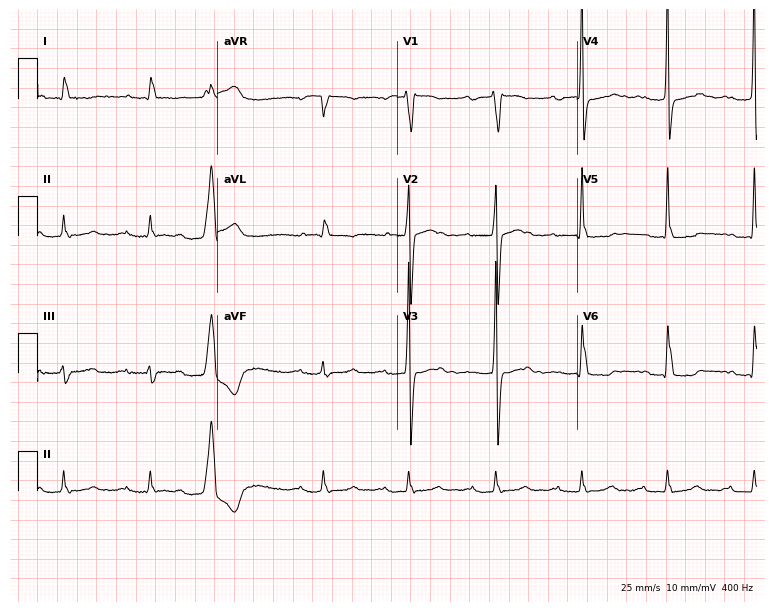
Electrocardiogram, a male patient, 82 years old. Interpretation includes first-degree AV block.